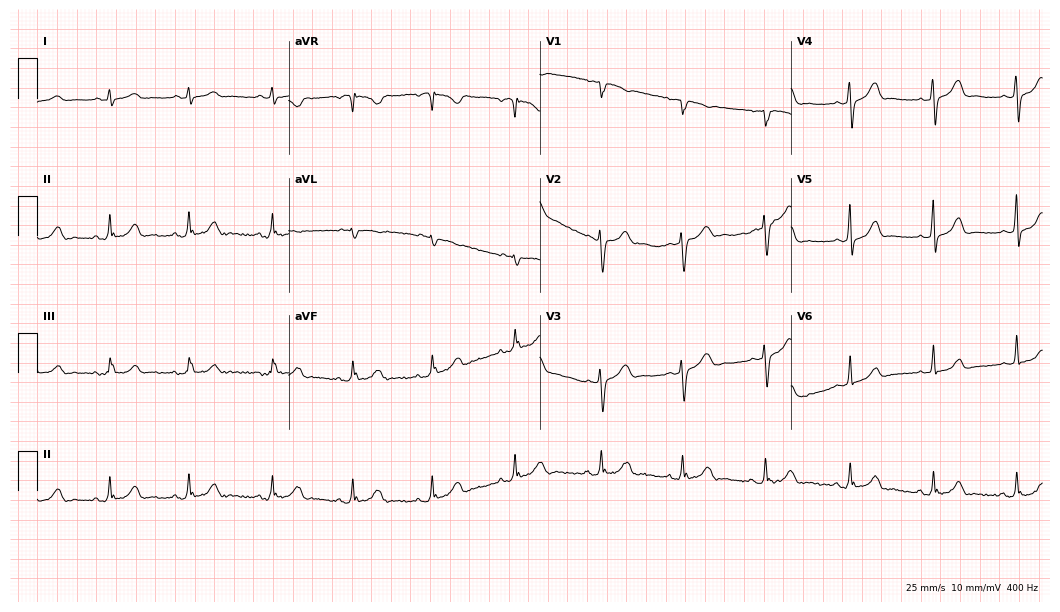
Resting 12-lead electrocardiogram. Patient: a female, 31 years old. None of these six findings is recorded: first-degree AV block, right bundle branch block, left bundle branch block, sinus bradycardia, atrial fibrillation, sinus tachycardia.